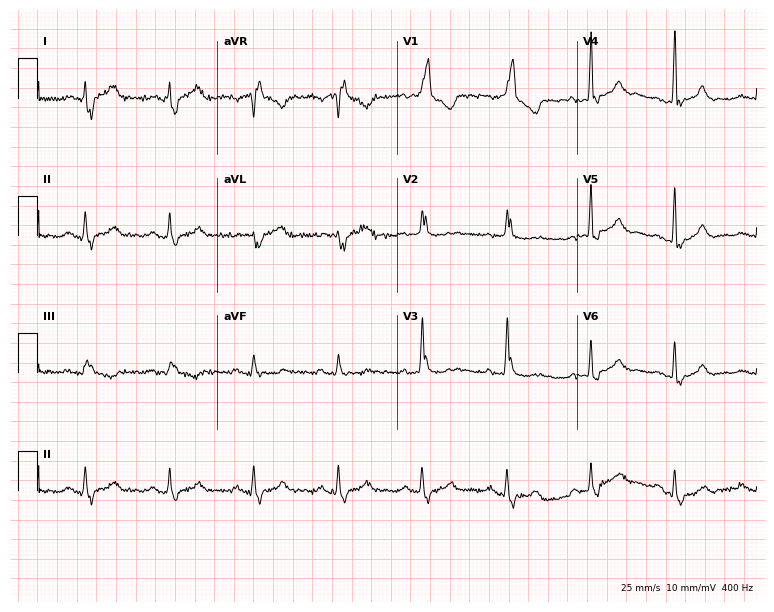
12-lead ECG from a 58-year-old female patient. Screened for six findings — first-degree AV block, right bundle branch block, left bundle branch block, sinus bradycardia, atrial fibrillation, sinus tachycardia — none is recorded. Findings outside these six are not listed.